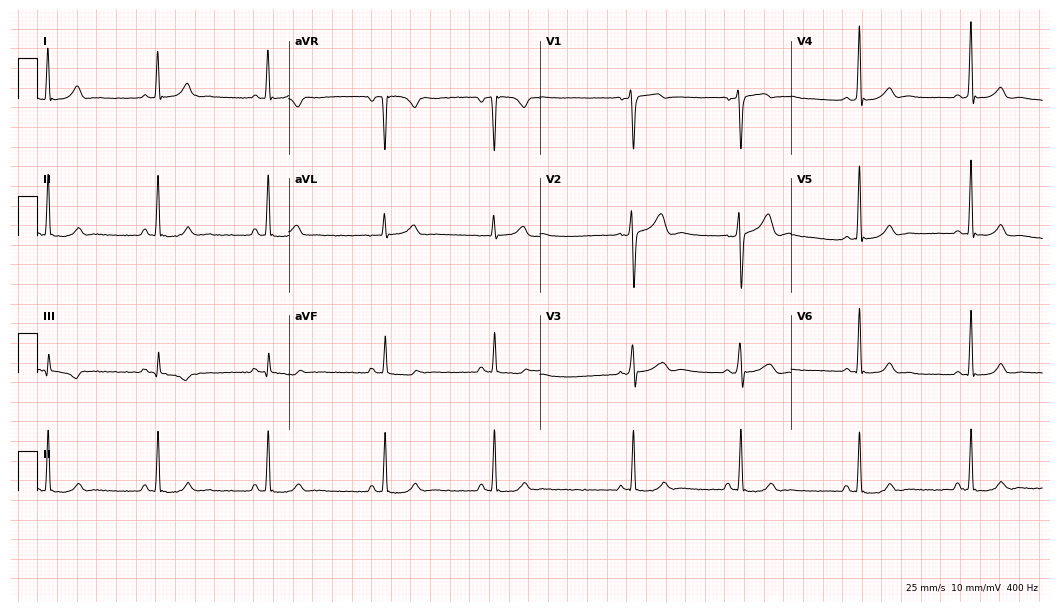
ECG — a man, 32 years old. Labelled as a normal ECG.